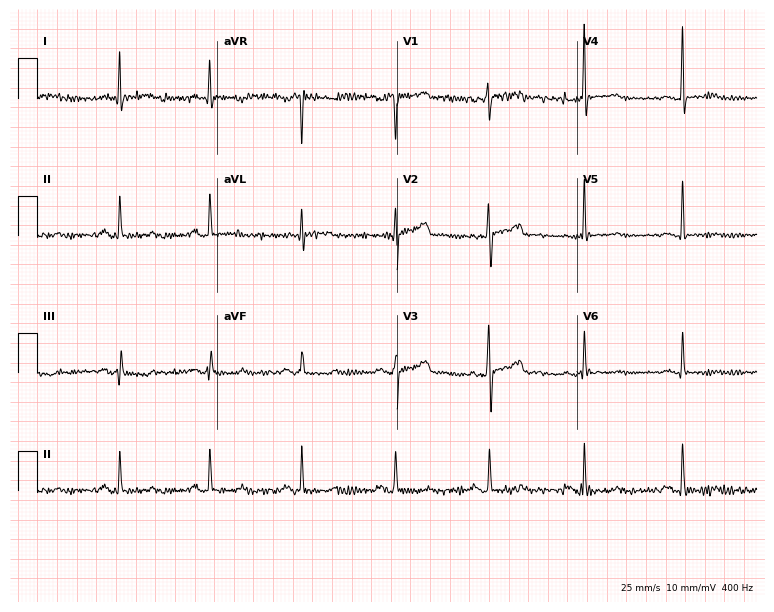
ECG — a 55-year-old woman. Screened for six findings — first-degree AV block, right bundle branch block (RBBB), left bundle branch block (LBBB), sinus bradycardia, atrial fibrillation (AF), sinus tachycardia — none is recorded. Other findings, if any, are not listed.